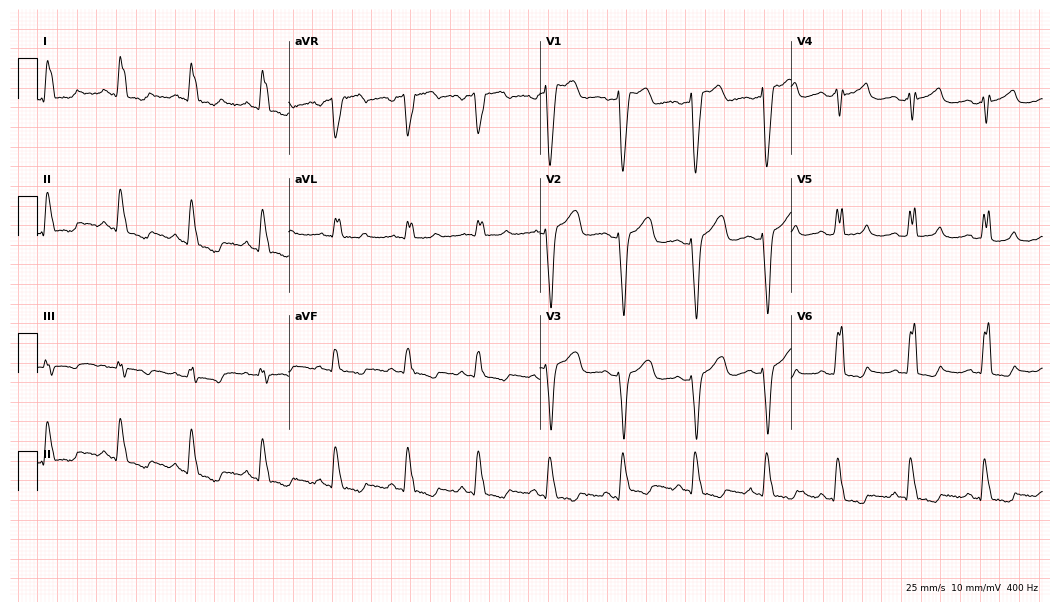
12-lead ECG from a 73-year-old woman (10.2-second recording at 400 Hz). Shows left bundle branch block (LBBB).